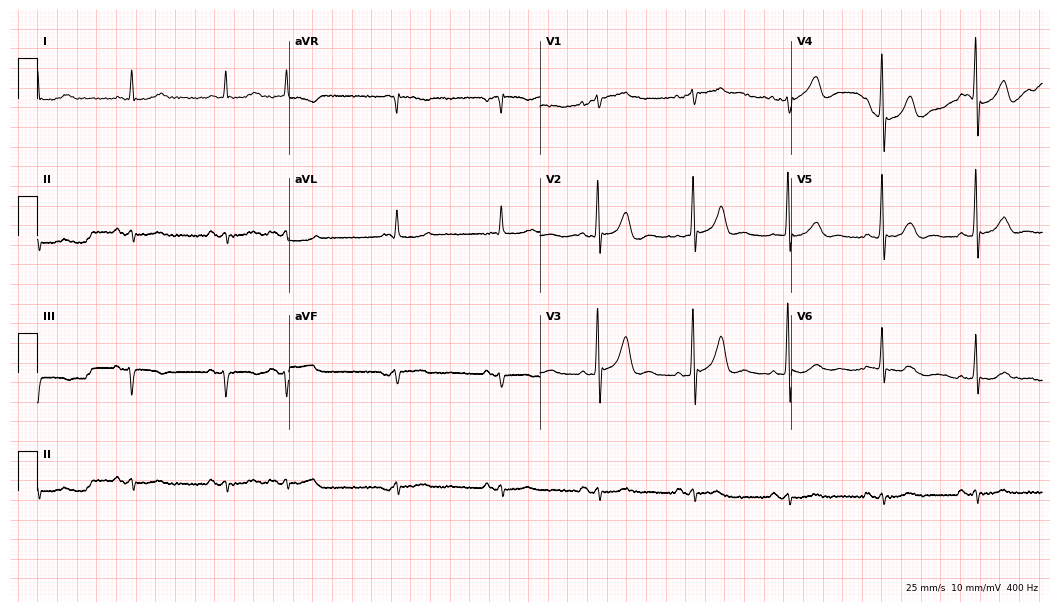
Electrocardiogram (10.2-second recording at 400 Hz), a 74-year-old male. Of the six screened findings (first-degree AV block, right bundle branch block, left bundle branch block, sinus bradycardia, atrial fibrillation, sinus tachycardia), none is recorded. Other findings, if any, are not listed.